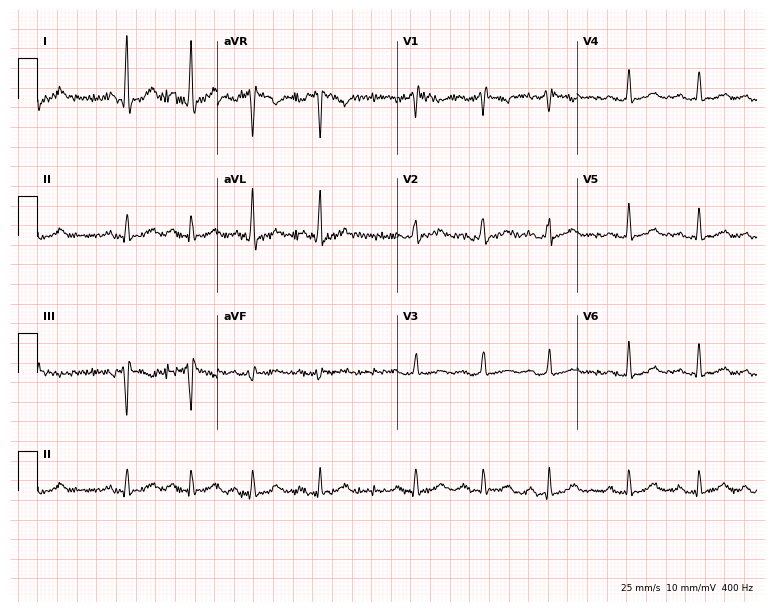
Electrocardiogram (7.3-second recording at 400 Hz), a 19-year-old woman. Of the six screened findings (first-degree AV block, right bundle branch block, left bundle branch block, sinus bradycardia, atrial fibrillation, sinus tachycardia), none is recorded.